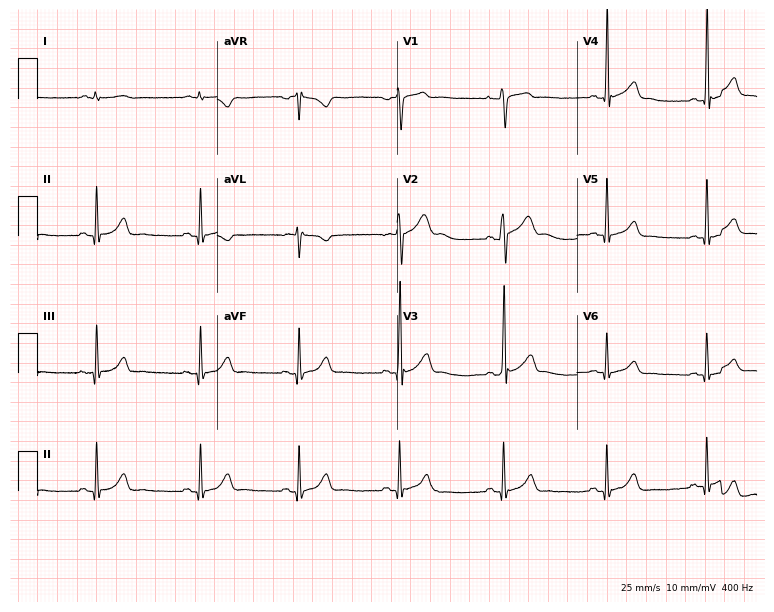
12-lead ECG from a 40-year-old male patient. Recorded interpretation: within normal limits.